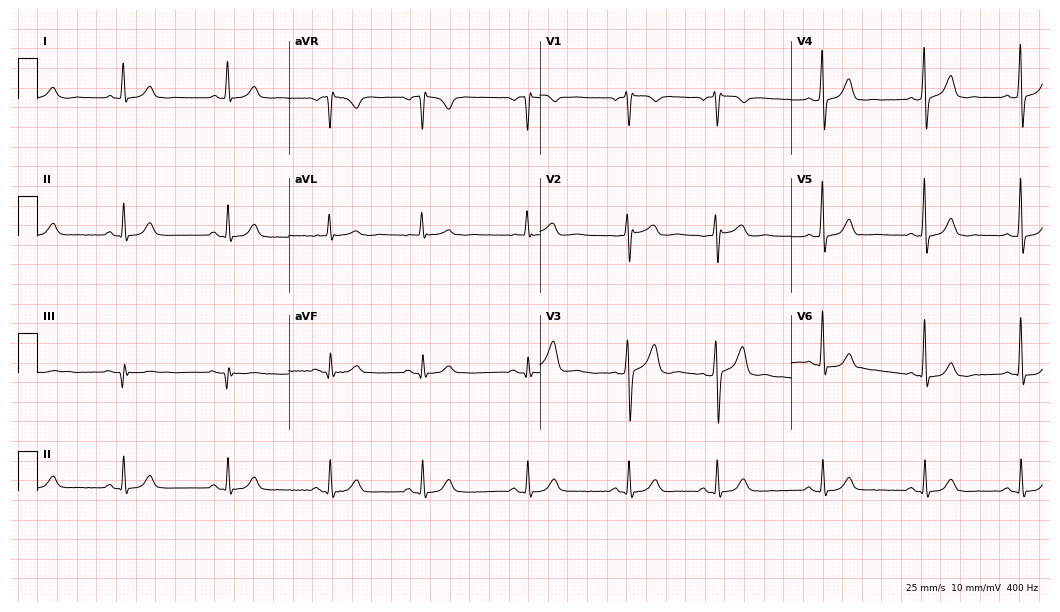
Standard 12-lead ECG recorded from a 60-year-old man. None of these six findings is recorded: first-degree AV block, right bundle branch block (RBBB), left bundle branch block (LBBB), sinus bradycardia, atrial fibrillation (AF), sinus tachycardia.